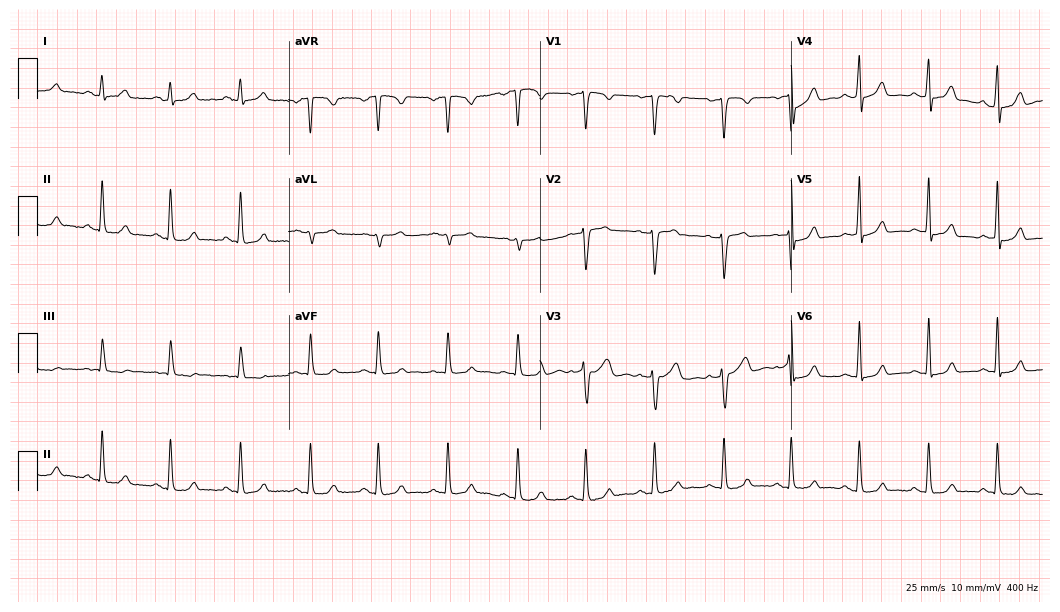
Resting 12-lead electrocardiogram (10.2-second recording at 400 Hz). Patient: a 33-year-old woman. Read as a normal ECG.